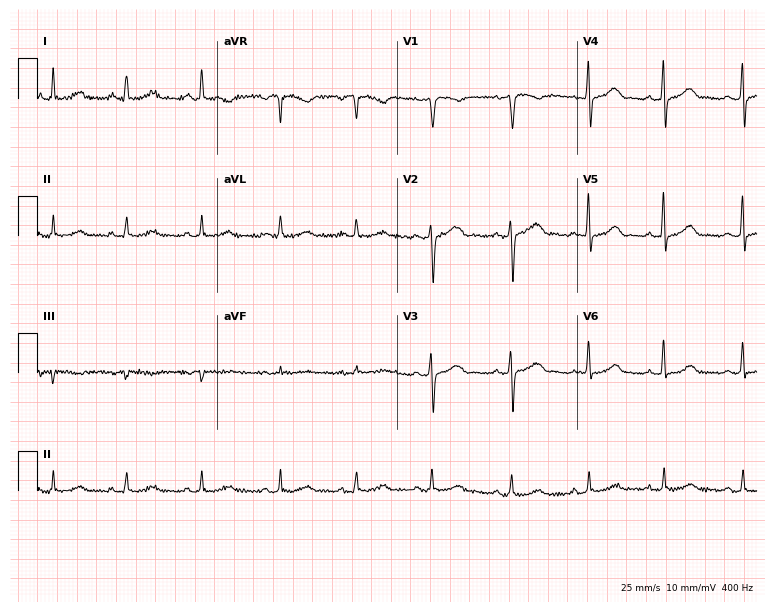
12-lead ECG (7.3-second recording at 400 Hz) from a 44-year-old male patient. Labelled as a normal ECG.